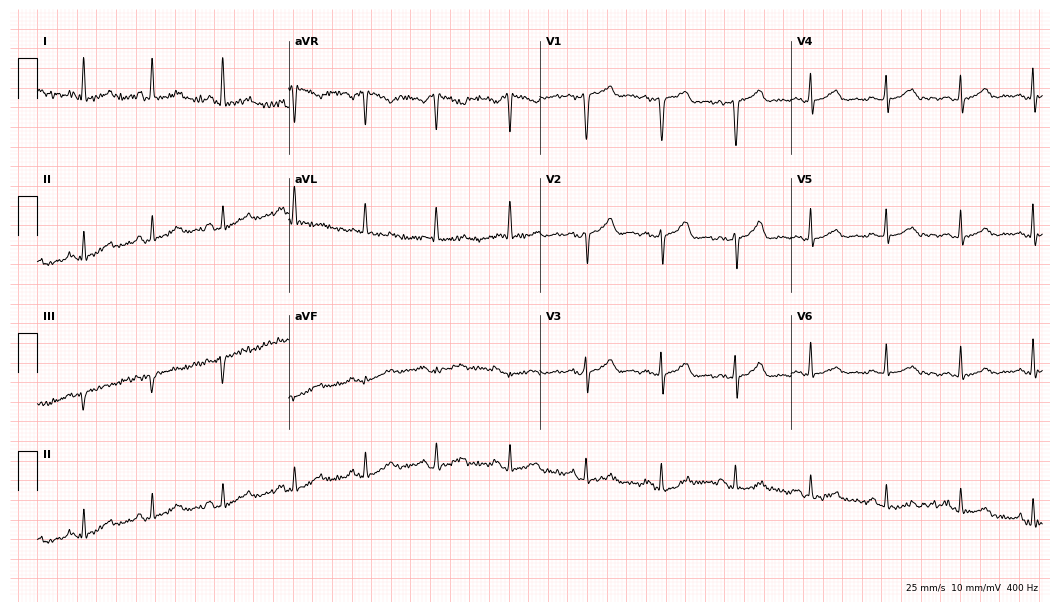
12-lead ECG from a 45-year-old female. Screened for six findings — first-degree AV block, right bundle branch block, left bundle branch block, sinus bradycardia, atrial fibrillation, sinus tachycardia — none is recorded. Only these six findings were labelled.